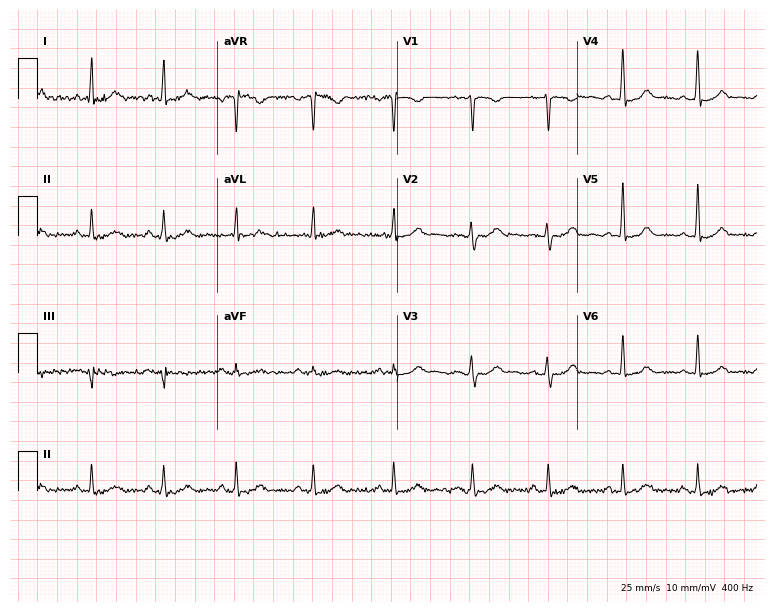
12-lead ECG from a woman, 34 years old. Screened for six findings — first-degree AV block, right bundle branch block, left bundle branch block, sinus bradycardia, atrial fibrillation, sinus tachycardia — none is recorded. Findings outside these six are not listed.